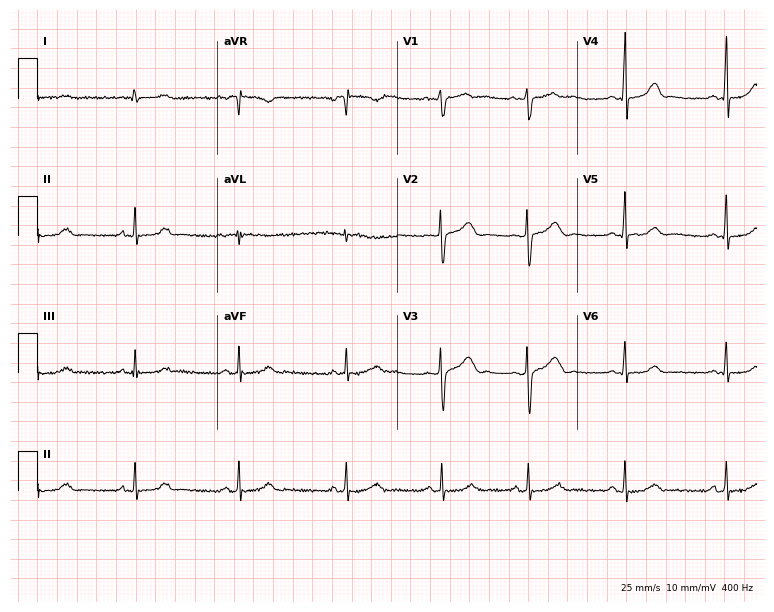
Standard 12-lead ECG recorded from a 32-year-old female. Read as a normal ECG.